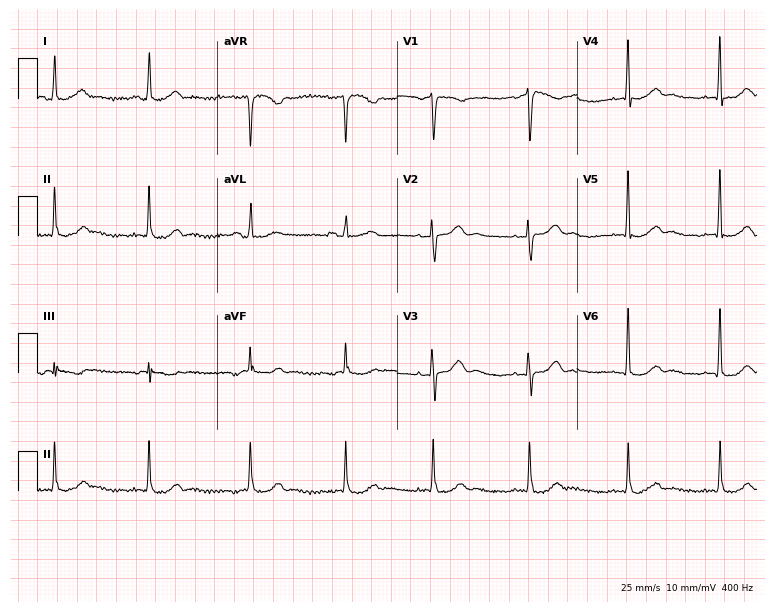
Standard 12-lead ECG recorded from a 46-year-old woman (7.3-second recording at 400 Hz). Read as a normal ECG.